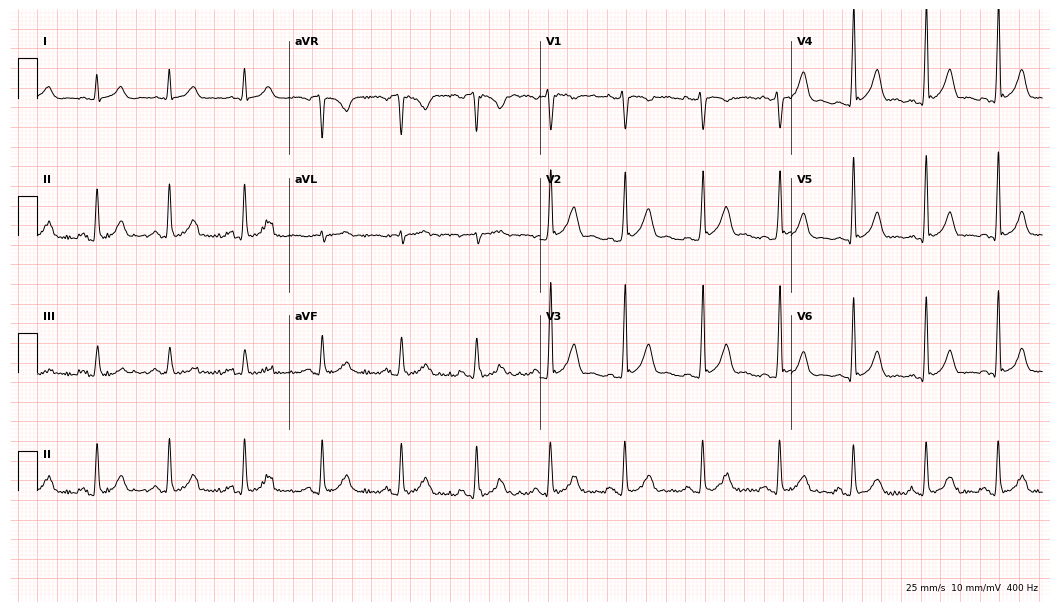
Electrocardiogram, a 27-year-old male. Overall reading on record: normal ECG.